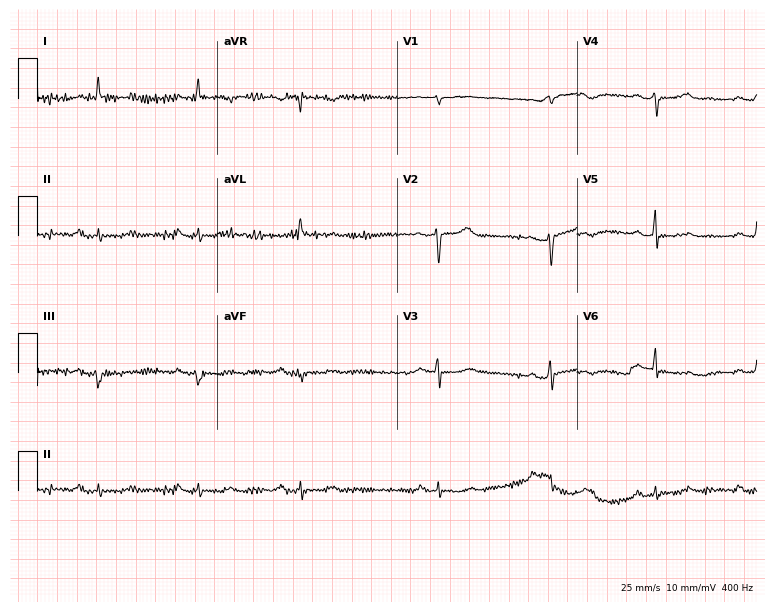
12-lead ECG from a woman, 60 years old (7.3-second recording at 400 Hz). No first-degree AV block, right bundle branch block (RBBB), left bundle branch block (LBBB), sinus bradycardia, atrial fibrillation (AF) or sinus tachycardia recorded for this tracing.